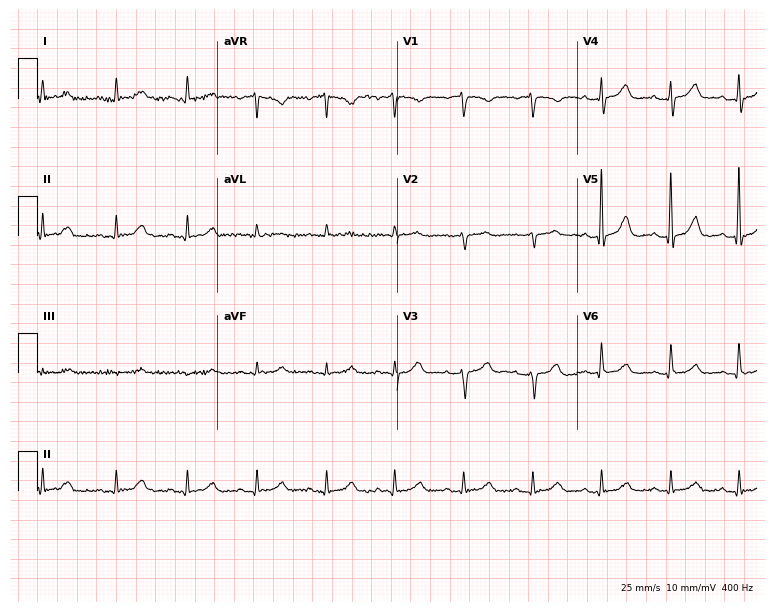
Resting 12-lead electrocardiogram. Patient: a woman, 80 years old. None of these six findings is recorded: first-degree AV block, right bundle branch block (RBBB), left bundle branch block (LBBB), sinus bradycardia, atrial fibrillation (AF), sinus tachycardia. Only these six findings were labelled.